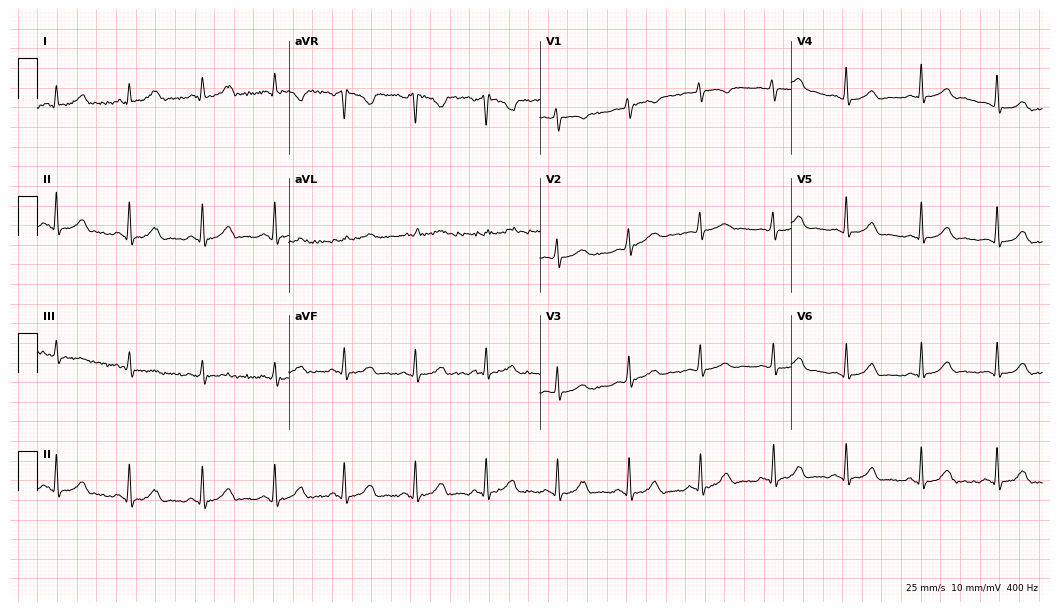
Electrocardiogram (10.2-second recording at 400 Hz), a female patient, 44 years old. Overall reading on record: normal ECG.